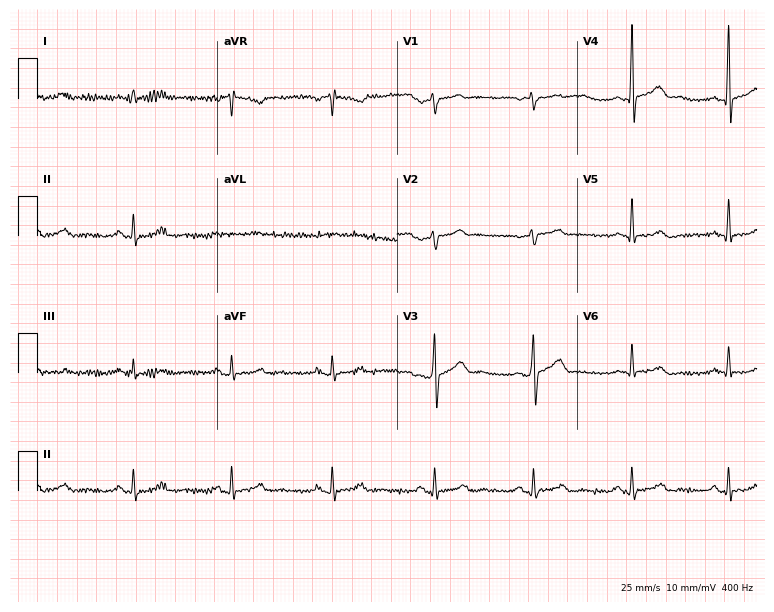
Electrocardiogram (7.3-second recording at 400 Hz), a 63-year-old man. Overall reading on record: normal ECG.